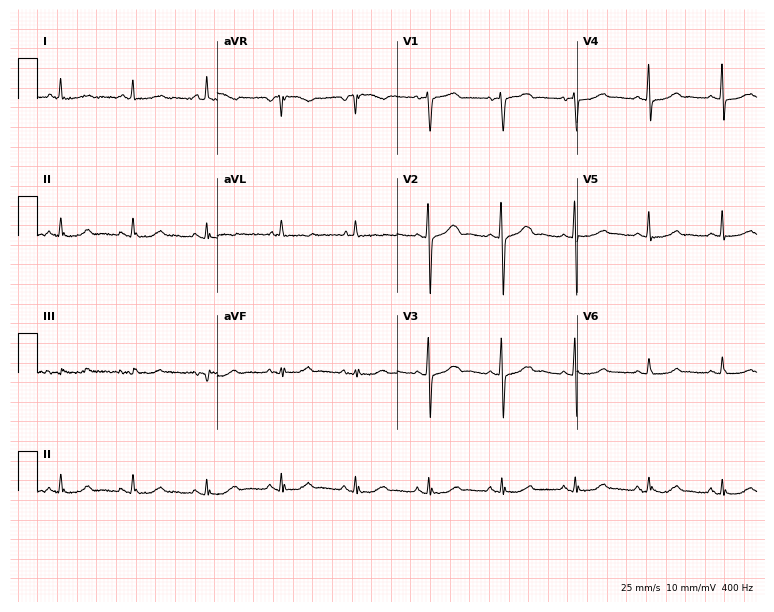
Resting 12-lead electrocardiogram. Patient: an 82-year-old woman. Read as a normal ECG.